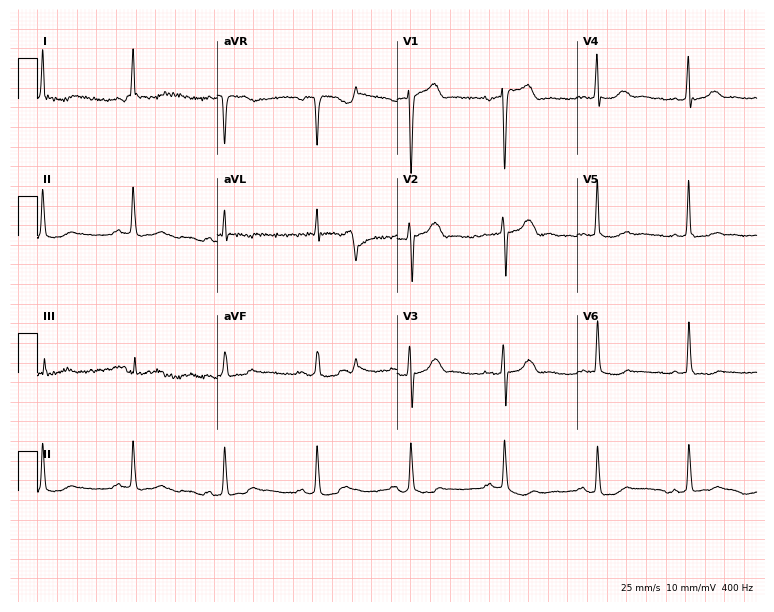
Standard 12-lead ECG recorded from a 57-year-old man (7.3-second recording at 400 Hz). None of these six findings is recorded: first-degree AV block, right bundle branch block (RBBB), left bundle branch block (LBBB), sinus bradycardia, atrial fibrillation (AF), sinus tachycardia.